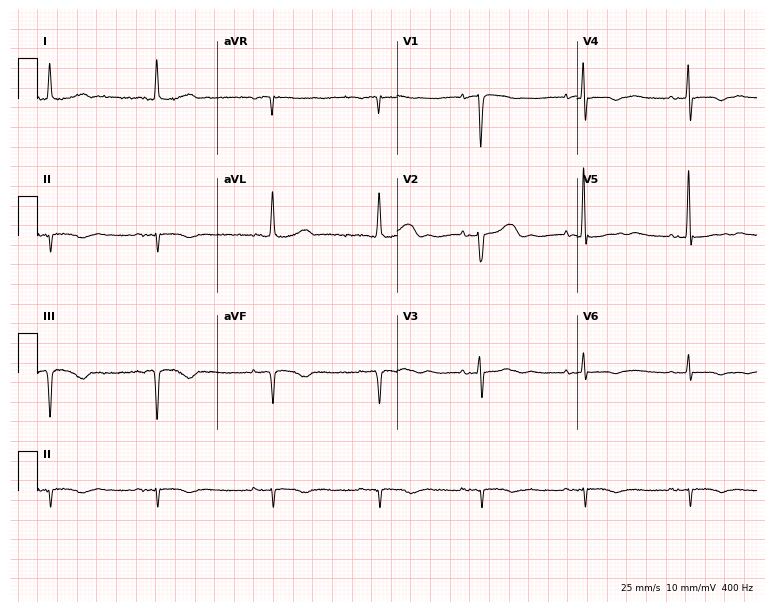
Resting 12-lead electrocardiogram. Patient: an 80-year-old female. None of these six findings is recorded: first-degree AV block, right bundle branch block, left bundle branch block, sinus bradycardia, atrial fibrillation, sinus tachycardia.